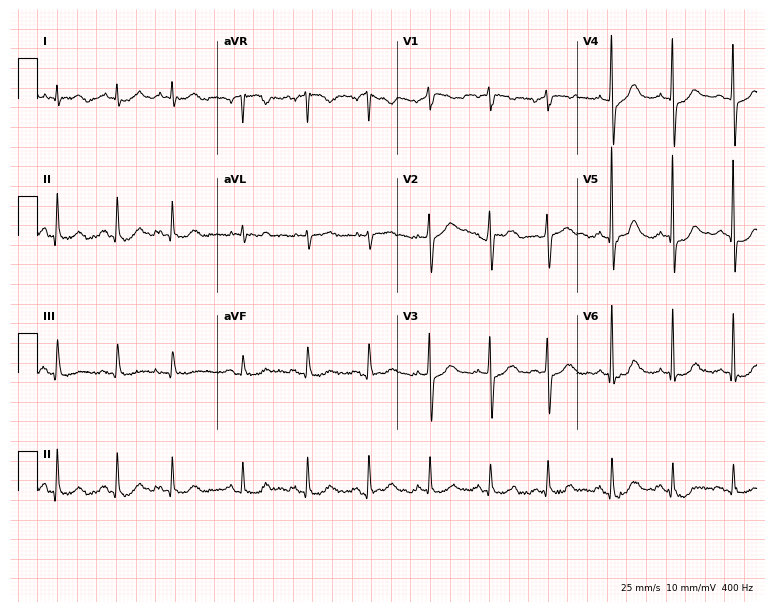
12-lead ECG from a 71-year-old male. No first-degree AV block, right bundle branch block, left bundle branch block, sinus bradycardia, atrial fibrillation or sinus tachycardia recorded for this tracing.